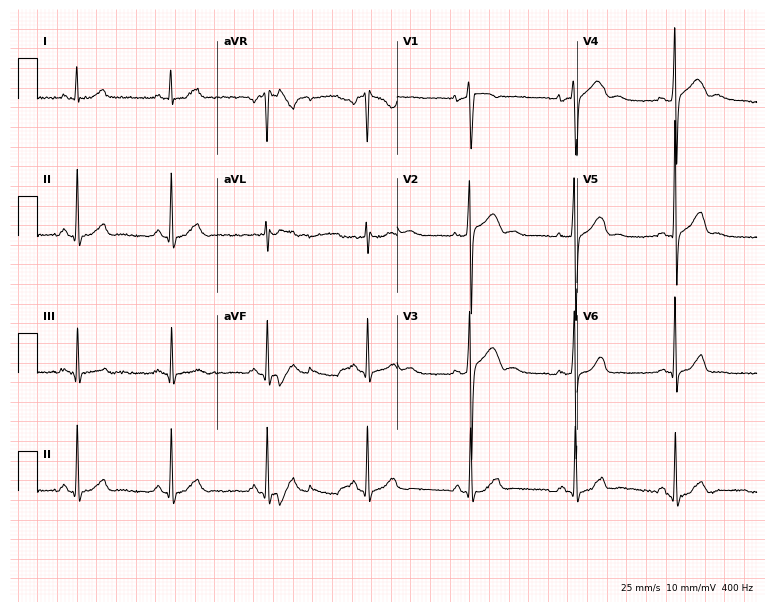
Standard 12-lead ECG recorded from a 35-year-old male patient (7.3-second recording at 400 Hz). Read as a normal ECG.